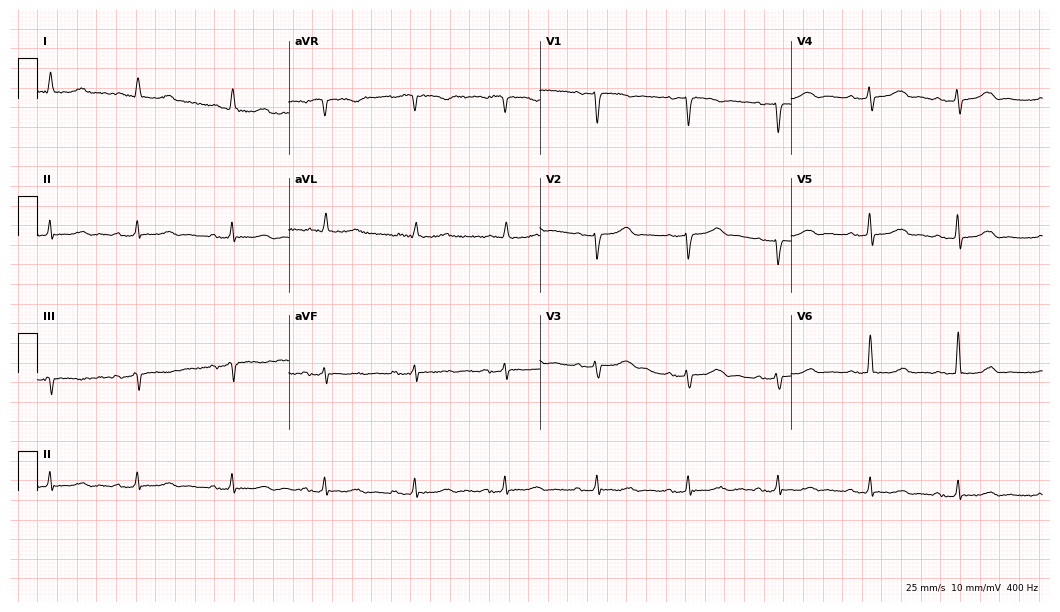
Electrocardiogram (10.2-second recording at 400 Hz), a woman, 56 years old. Overall reading on record: normal ECG.